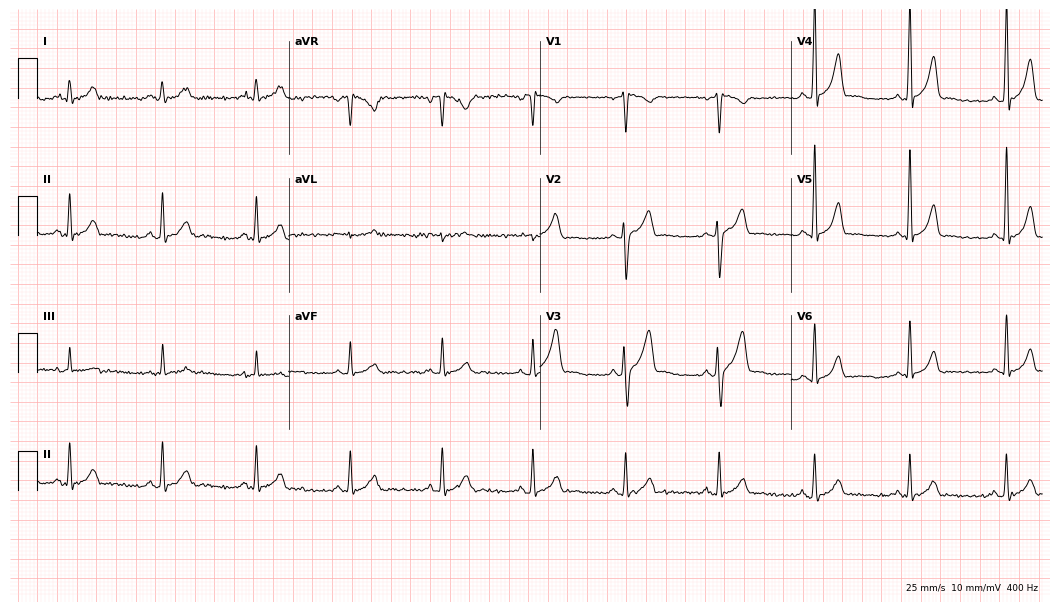
Resting 12-lead electrocardiogram (10.2-second recording at 400 Hz). Patient: a male, 36 years old. None of these six findings is recorded: first-degree AV block, right bundle branch block (RBBB), left bundle branch block (LBBB), sinus bradycardia, atrial fibrillation (AF), sinus tachycardia.